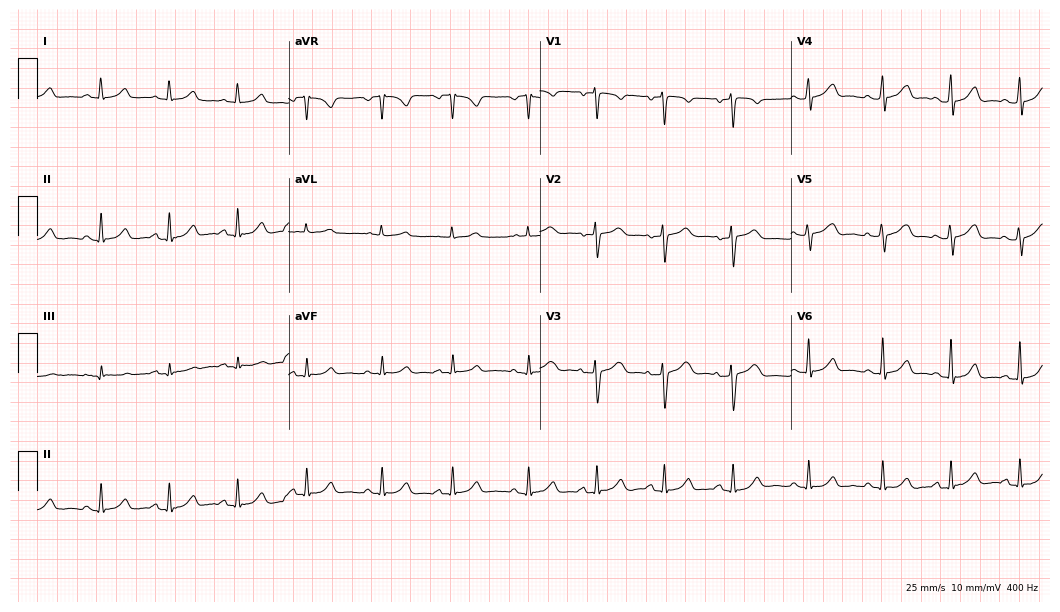
Resting 12-lead electrocardiogram (10.2-second recording at 400 Hz). Patient: a 40-year-old female. Read as a normal ECG.